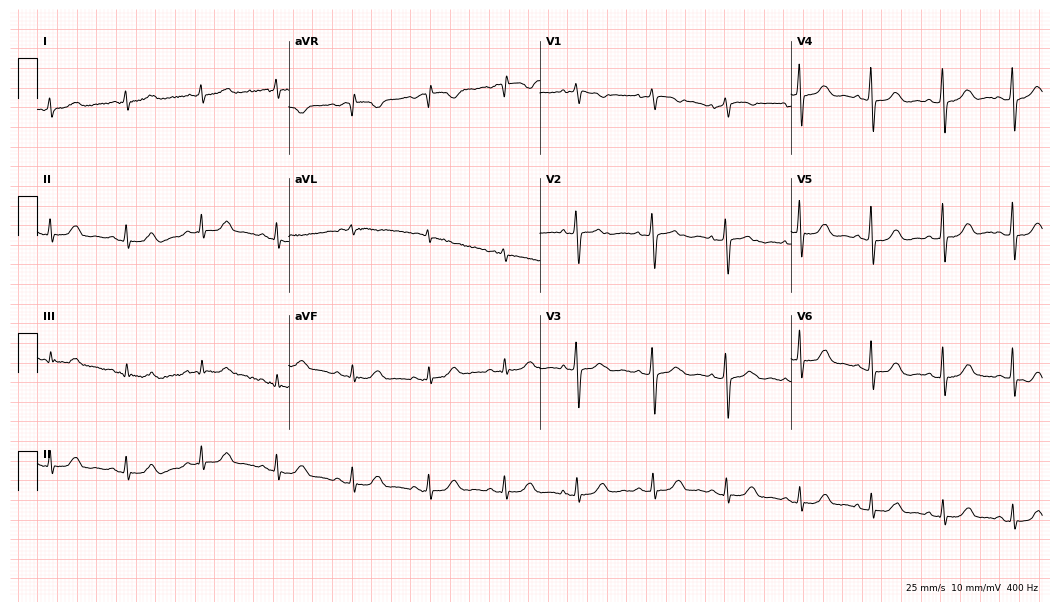
Electrocardiogram, a woman, 66 years old. Overall reading on record: normal ECG.